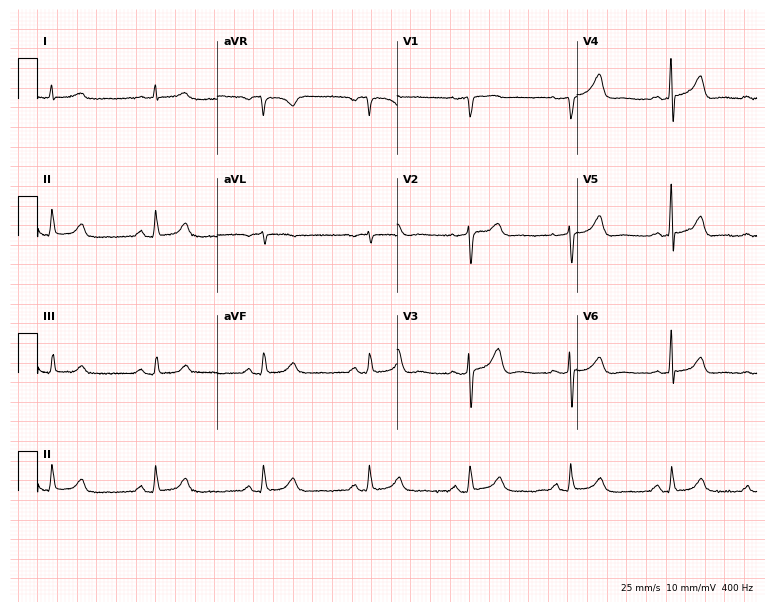
12-lead ECG (7.3-second recording at 400 Hz) from a male patient, 71 years old. Labelled as a normal ECG.